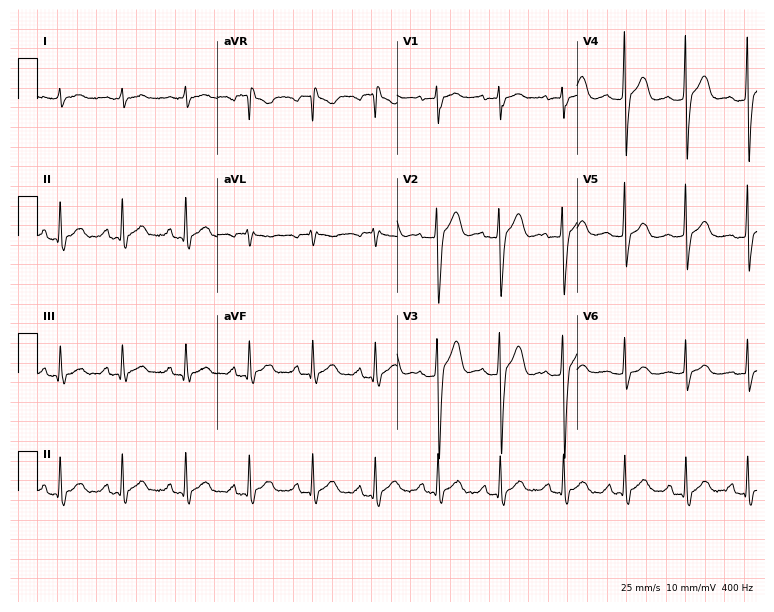
ECG (7.3-second recording at 400 Hz) — a male patient, 20 years old. Screened for six findings — first-degree AV block, right bundle branch block (RBBB), left bundle branch block (LBBB), sinus bradycardia, atrial fibrillation (AF), sinus tachycardia — none is recorded.